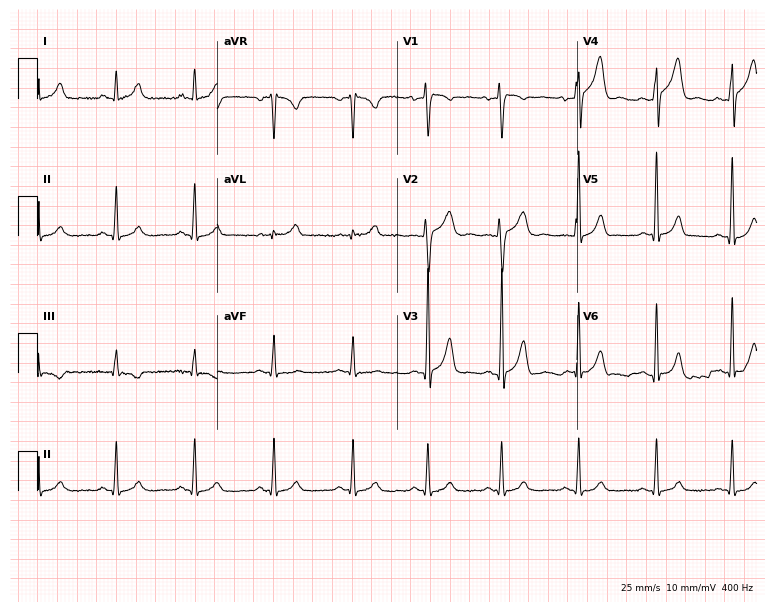
ECG — a male patient, 29 years old. Screened for six findings — first-degree AV block, right bundle branch block (RBBB), left bundle branch block (LBBB), sinus bradycardia, atrial fibrillation (AF), sinus tachycardia — none is recorded. Other findings, if any, are not listed.